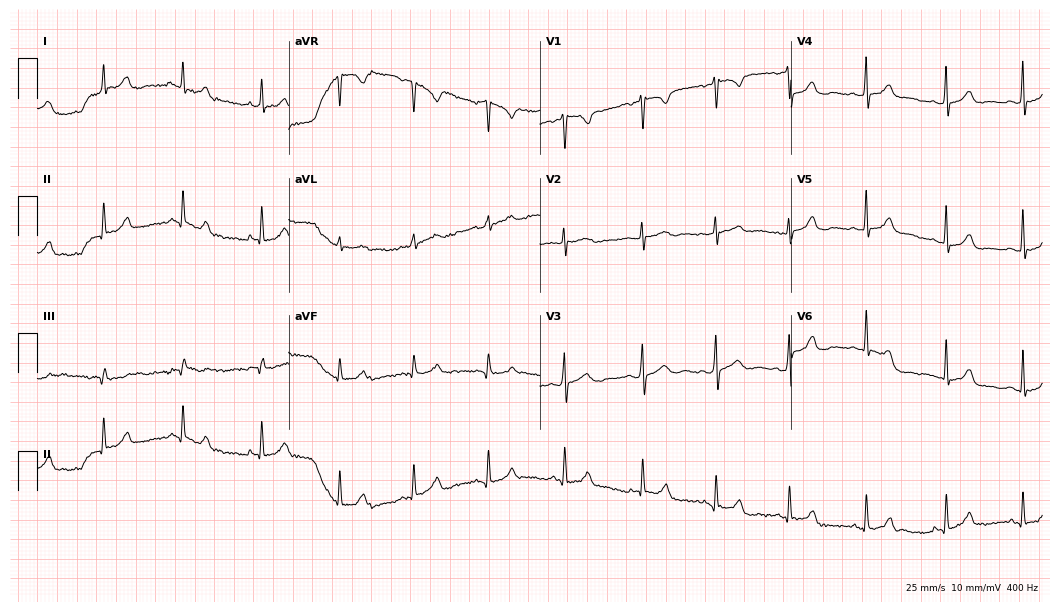
Electrocardiogram, a female patient, 21 years old. Overall reading on record: normal ECG.